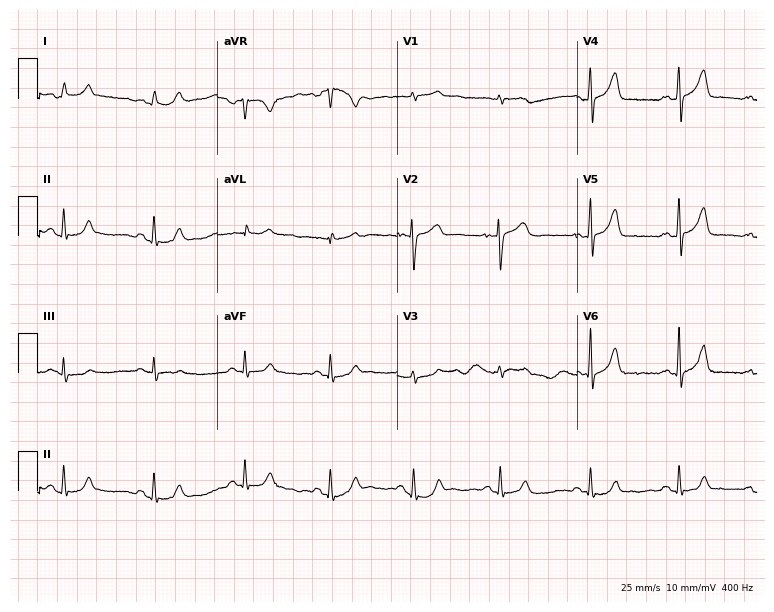
12-lead ECG from a woman, 38 years old (7.3-second recording at 400 Hz). Recorded interpretation: within normal limits.